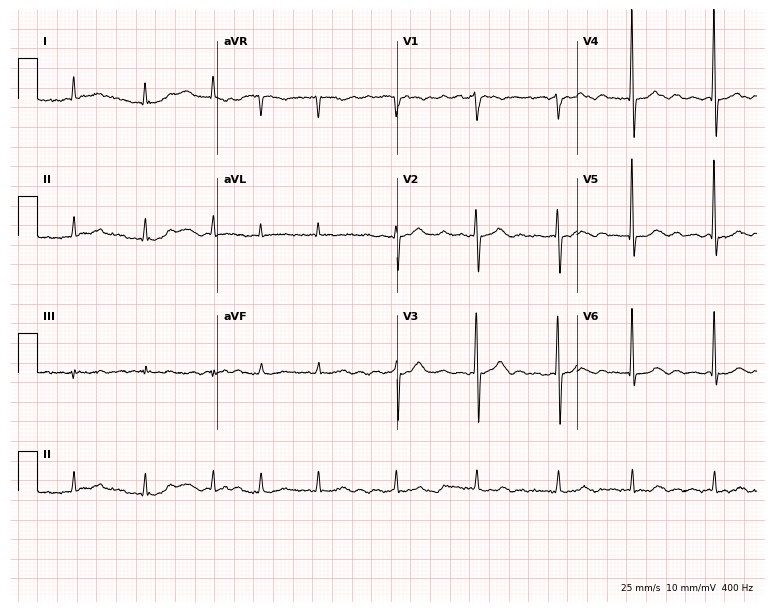
ECG — a male patient, 84 years old. Findings include atrial fibrillation.